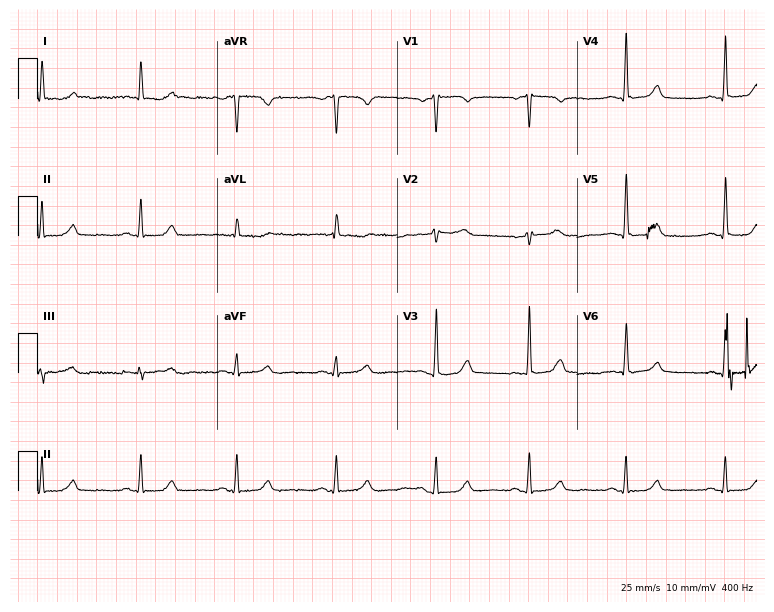
12-lead ECG from a woman, 67 years old. Screened for six findings — first-degree AV block, right bundle branch block, left bundle branch block, sinus bradycardia, atrial fibrillation, sinus tachycardia — none is recorded. Only these six findings were labelled.